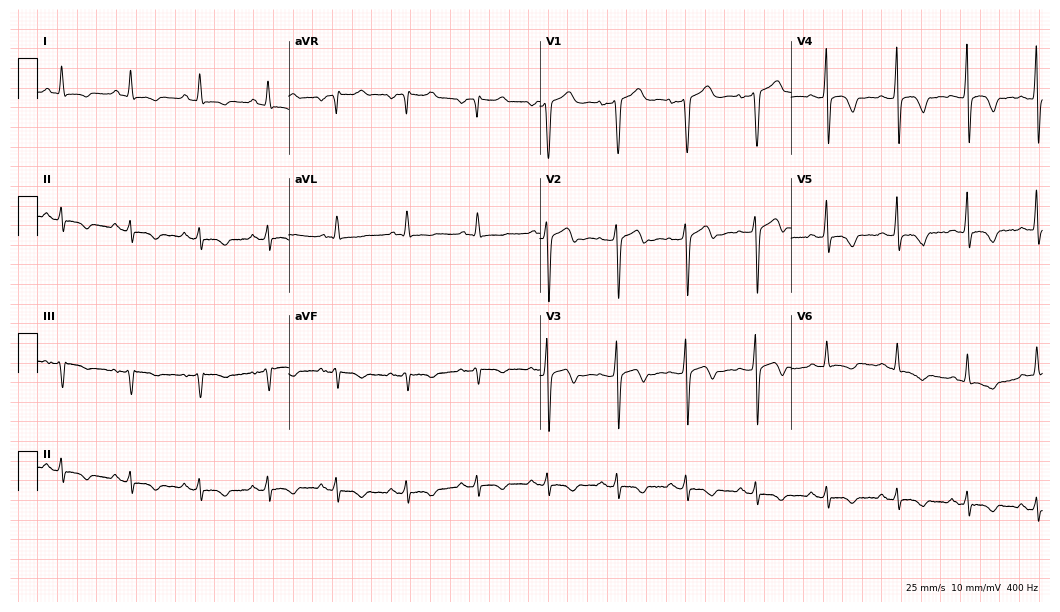
12-lead ECG from a 45-year-old female. No first-degree AV block, right bundle branch block, left bundle branch block, sinus bradycardia, atrial fibrillation or sinus tachycardia recorded for this tracing. Only these six findings were labelled.